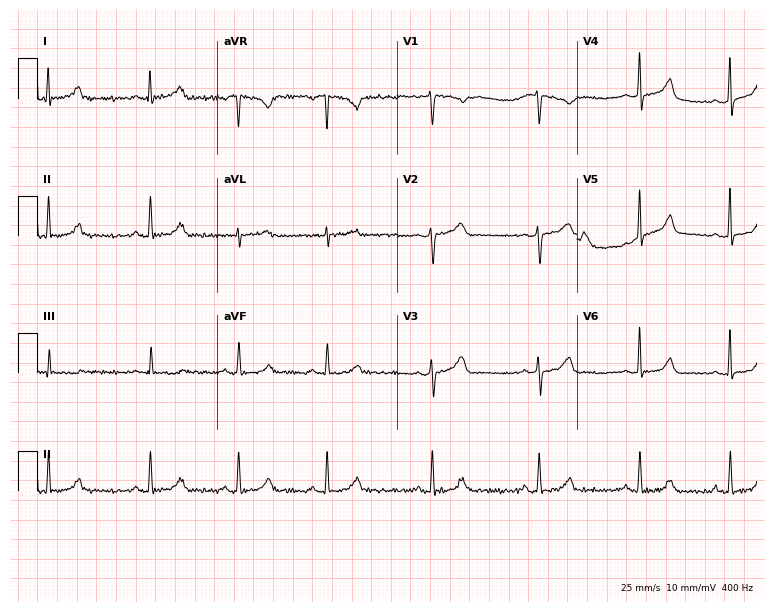
ECG — a 44-year-old woman. Screened for six findings — first-degree AV block, right bundle branch block, left bundle branch block, sinus bradycardia, atrial fibrillation, sinus tachycardia — none is recorded. Findings outside these six are not listed.